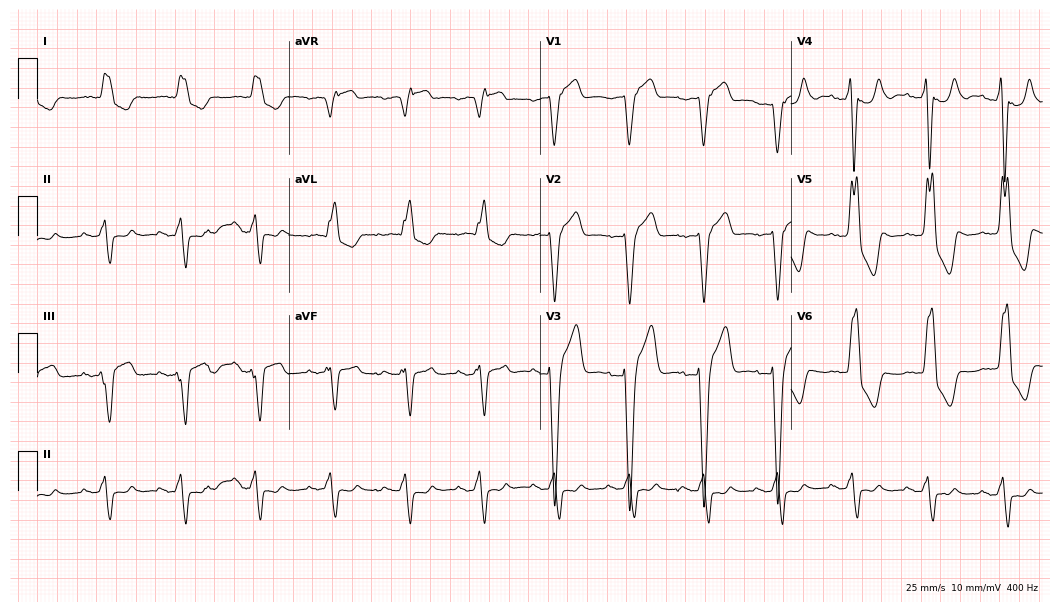
ECG (10.2-second recording at 400 Hz) — an 82-year-old male. Findings include left bundle branch block.